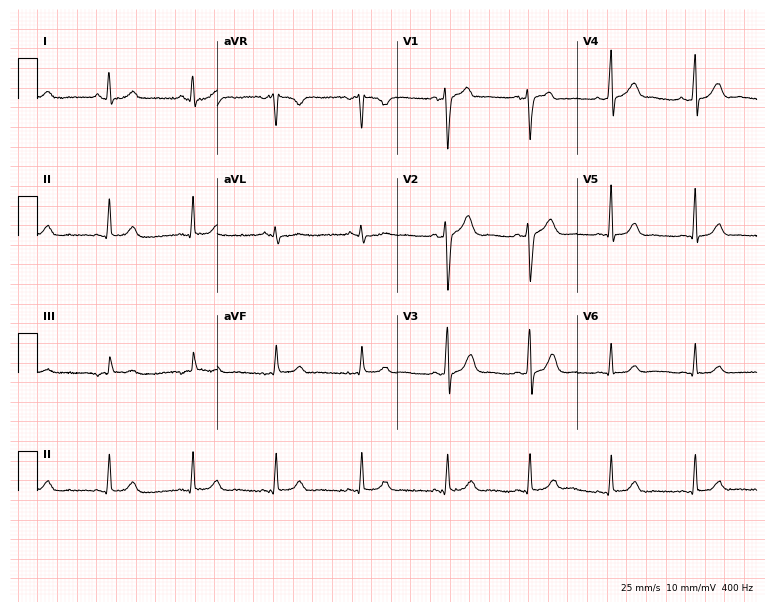
12-lead ECG (7.3-second recording at 400 Hz) from a female patient, 59 years old. Labelled as a normal ECG.